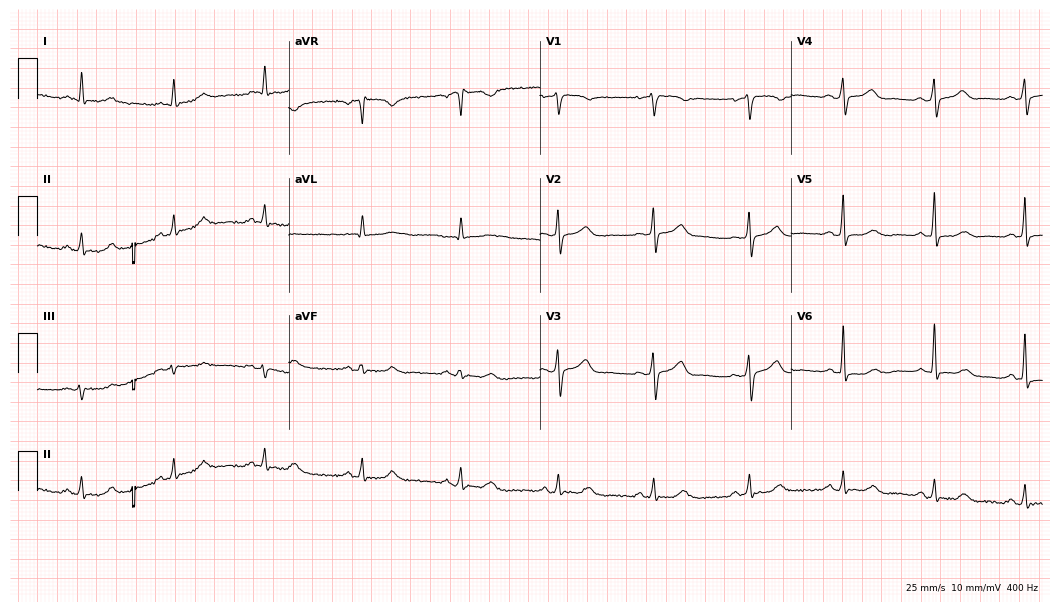
12-lead ECG from a female, 54 years old (10.2-second recording at 400 Hz). Recorded interpretation: within normal limits.